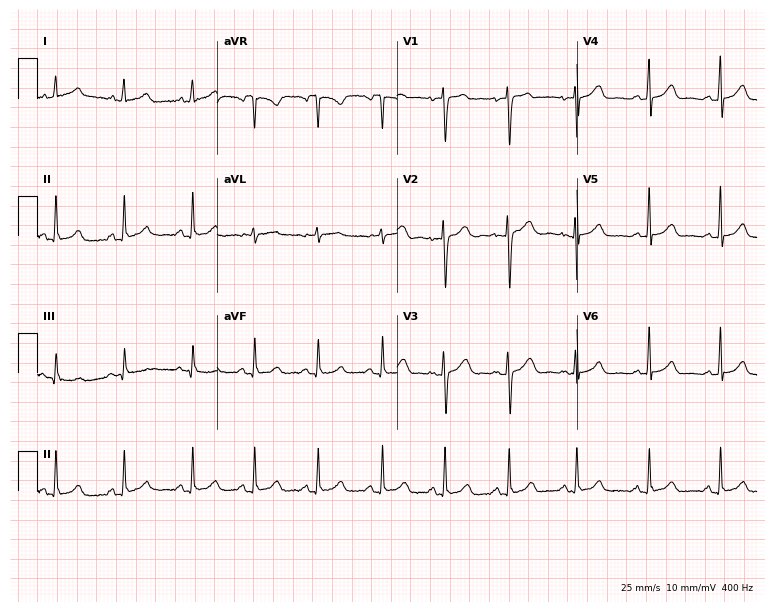
Electrocardiogram, a 32-year-old woman. Of the six screened findings (first-degree AV block, right bundle branch block (RBBB), left bundle branch block (LBBB), sinus bradycardia, atrial fibrillation (AF), sinus tachycardia), none is recorded. Other findings, if any, are not listed.